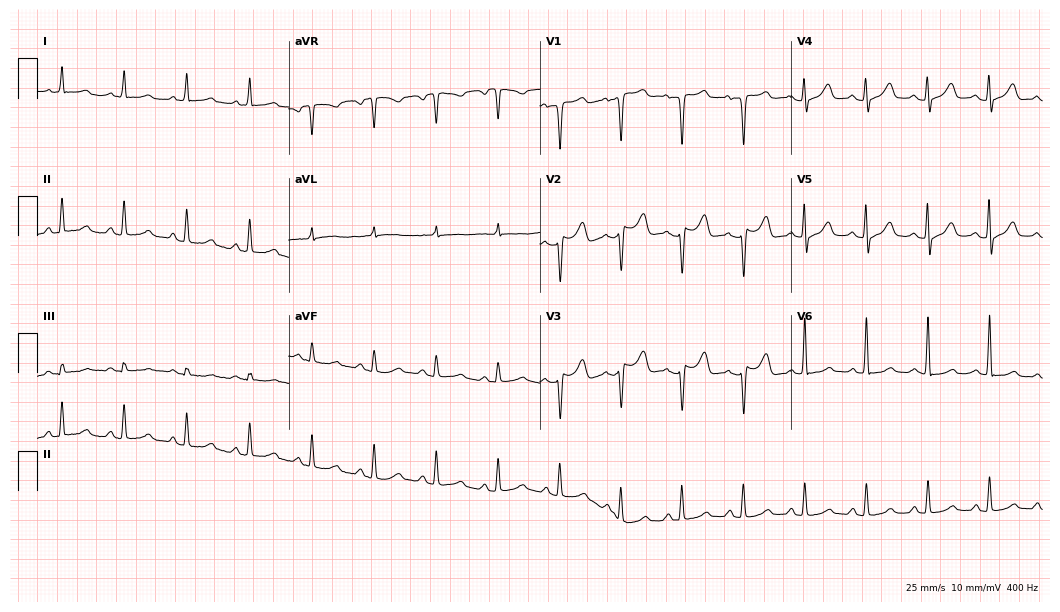
Electrocardiogram, a 48-year-old female. Overall reading on record: normal ECG.